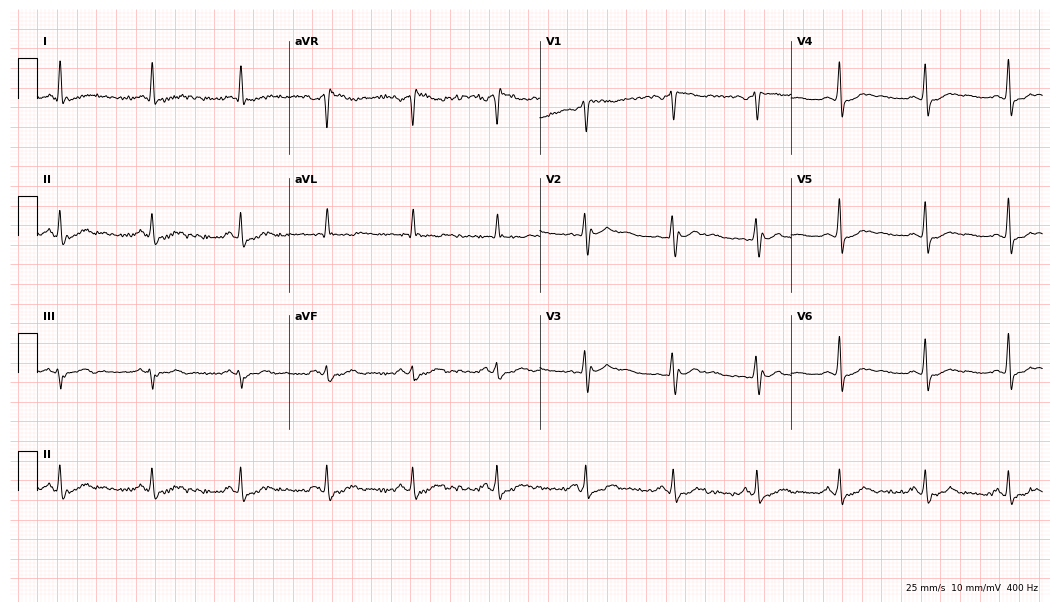
Electrocardiogram (10.2-second recording at 400 Hz), a man, 50 years old. Of the six screened findings (first-degree AV block, right bundle branch block, left bundle branch block, sinus bradycardia, atrial fibrillation, sinus tachycardia), none is recorded.